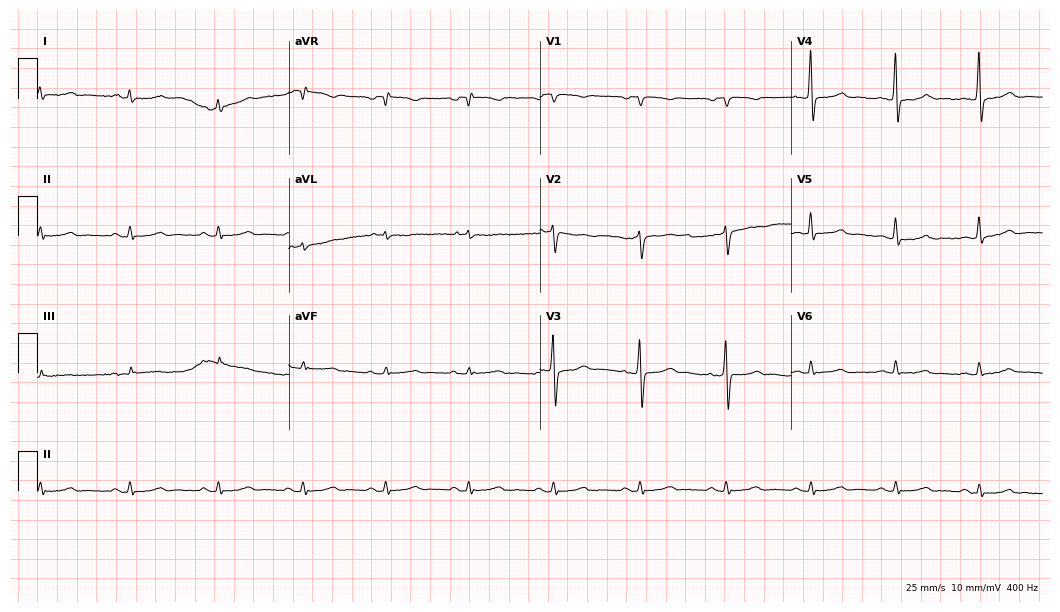
Electrocardiogram, a male patient, 52 years old. Of the six screened findings (first-degree AV block, right bundle branch block, left bundle branch block, sinus bradycardia, atrial fibrillation, sinus tachycardia), none is recorded. Other findings, if any, are not listed.